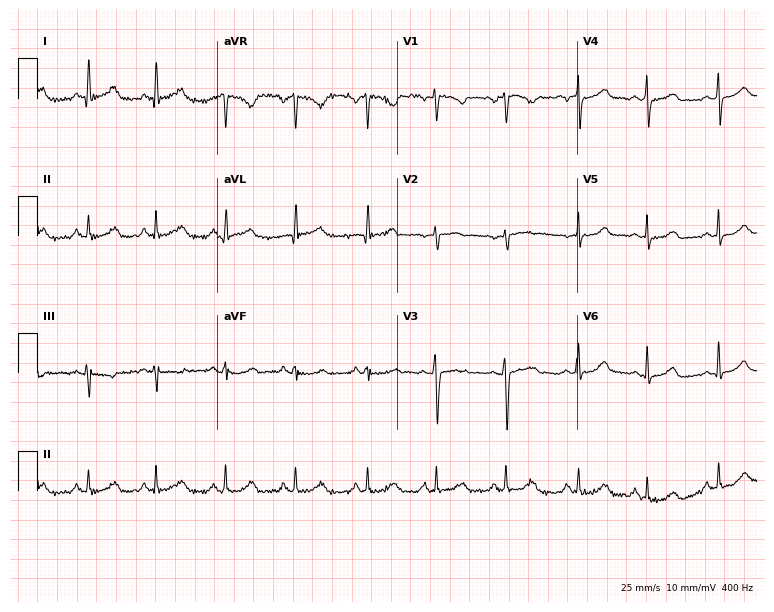
12-lead ECG (7.3-second recording at 400 Hz) from a female, 50 years old. Labelled as a normal ECG.